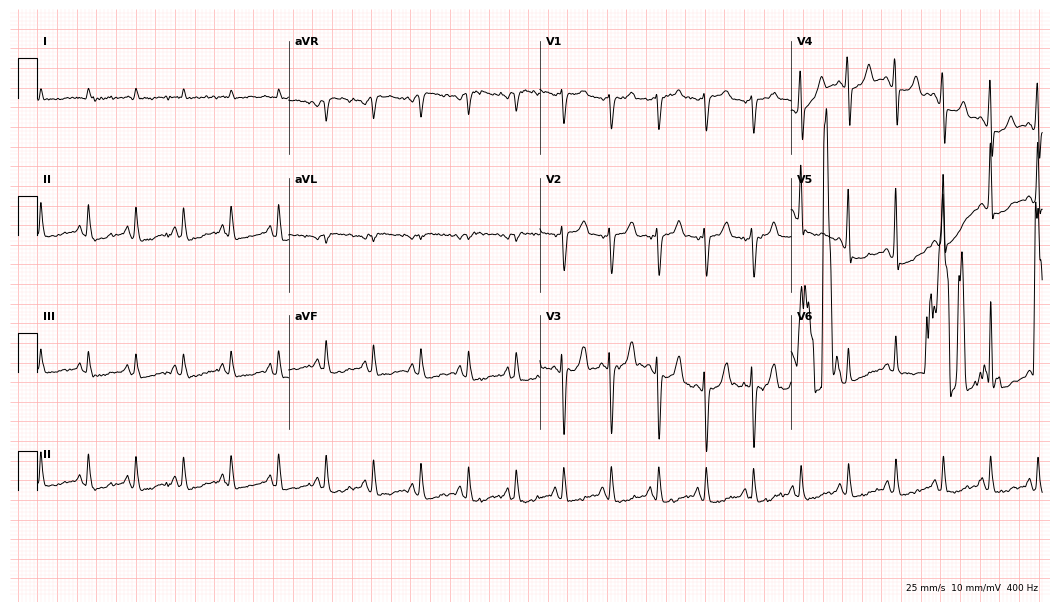
Standard 12-lead ECG recorded from a male patient, 77 years old (10.2-second recording at 400 Hz). The tracing shows sinus tachycardia (a sinus rate of 100 beats per minute or more).